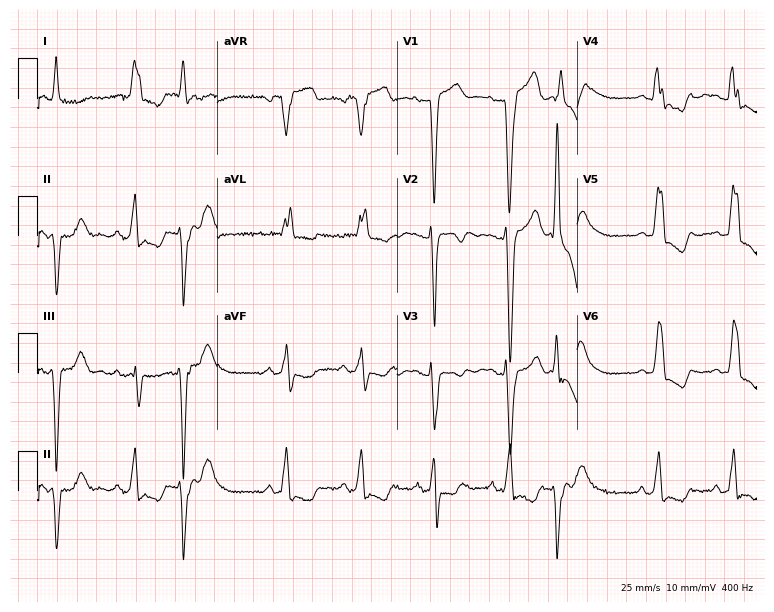
Resting 12-lead electrocardiogram. Patient: a female, 84 years old. The tracing shows left bundle branch block.